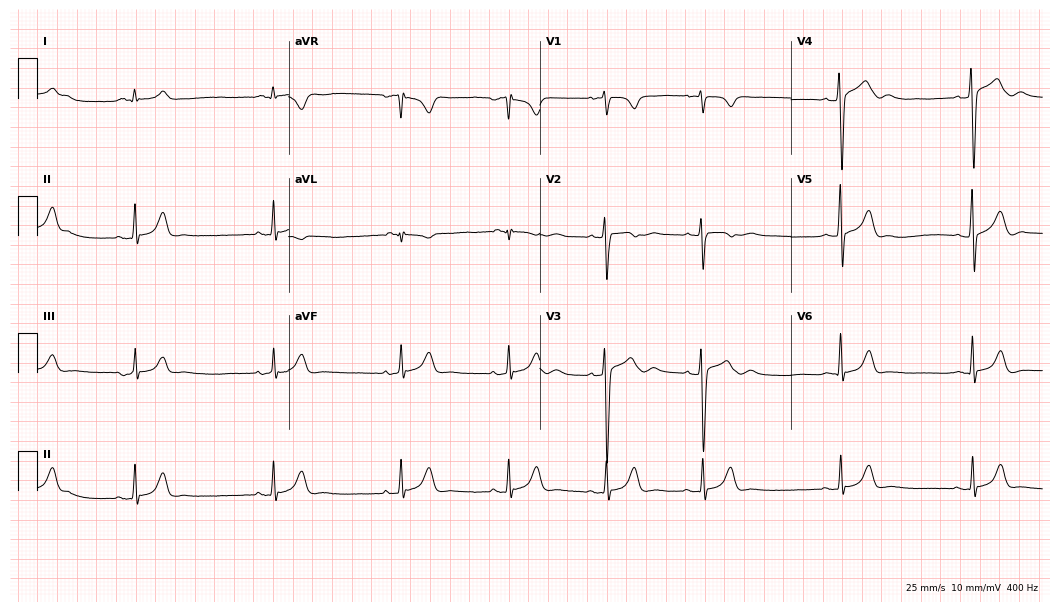
Electrocardiogram (10.2-second recording at 400 Hz), a 17-year-old male. Interpretation includes sinus bradycardia (a sinus rate of 50 beats per minute or less).